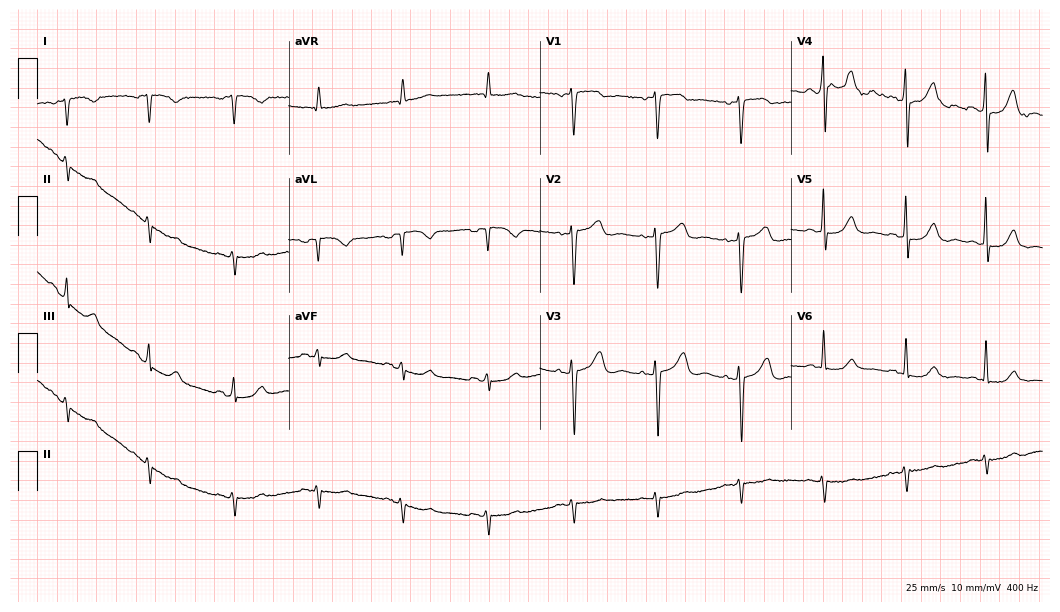
Standard 12-lead ECG recorded from a woman, 71 years old (10.2-second recording at 400 Hz). None of these six findings is recorded: first-degree AV block, right bundle branch block, left bundle branch block, sinus bradycardia, atrial fibrillation, sinus tachycardia. Findings outside these six are not listed.